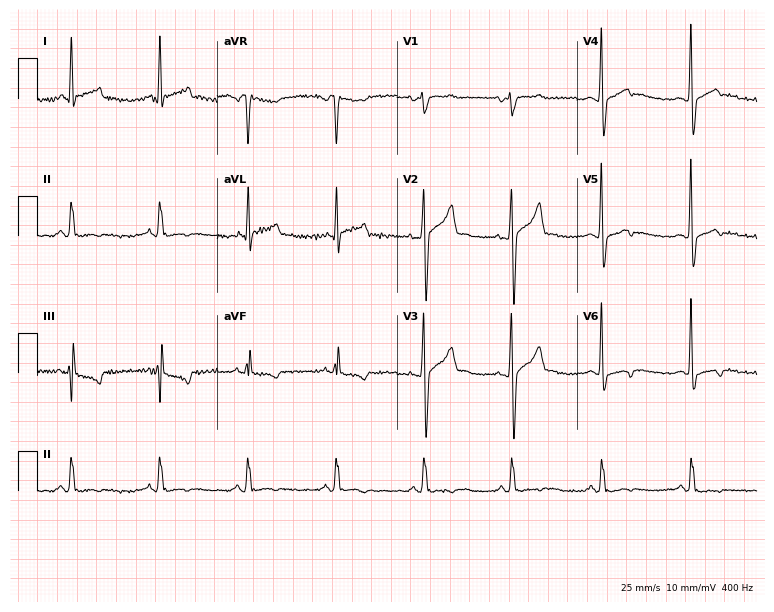
Standard 12-lead ECG recorded from a 40-year-old male patient. None of these six findings is recorded: first-degree AV block, right bundle branch block, left bundle branch block, sinus bradycardia, atrial fibrillation, sinus tachycardia. Only these six findings were labelled.